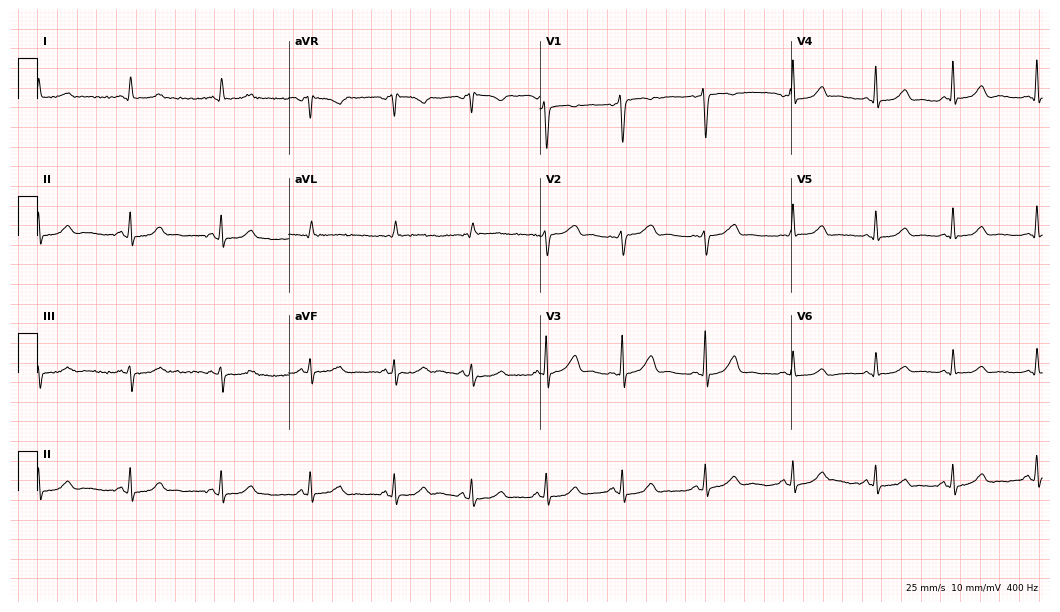
ECG (10.2-second recording at 400 Hz) — a 24-year-old female patient. Labelled as a normal ECG.